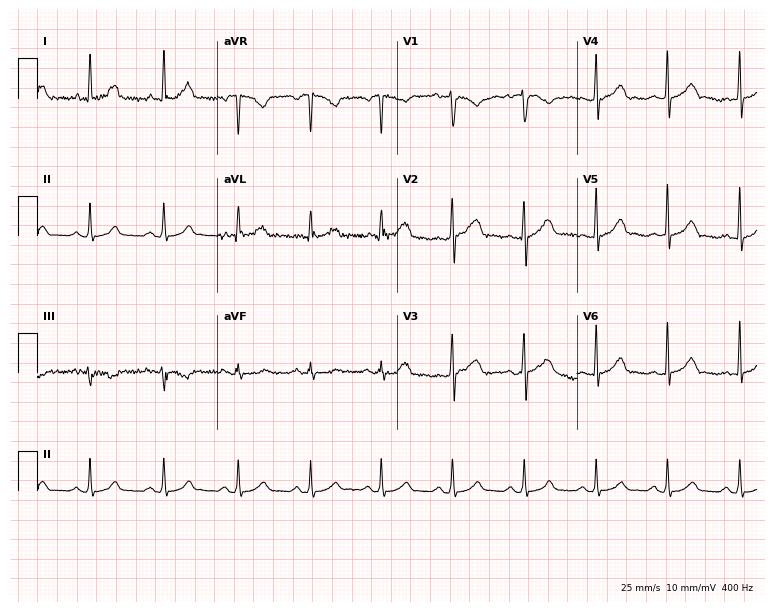
Standard 12-lead ECG recorded from a 28-year-old female (7.3-second recording at 400 Hz). None of these six findings is recorded: first-degree AV block, right bundle branch block (RBBB), left bundle branch block (LBBB), sinus bradycardia, atrial fibrillation (AF), sinus tachycardia. Only these six findings were labelled.